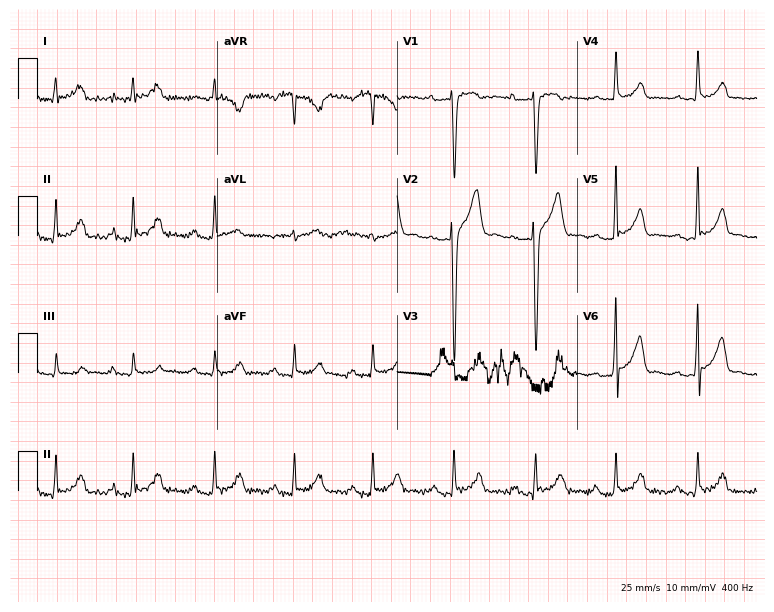
12-lead ECG (7.3-second recording at 400 Hz) from a man, 37 years old. Screened for six findings — first-degree AV block, right bundle branch block, left bundle branch block, sinus bradycardia, atrial fibrillation, sinus tachycardia — none is recorded.